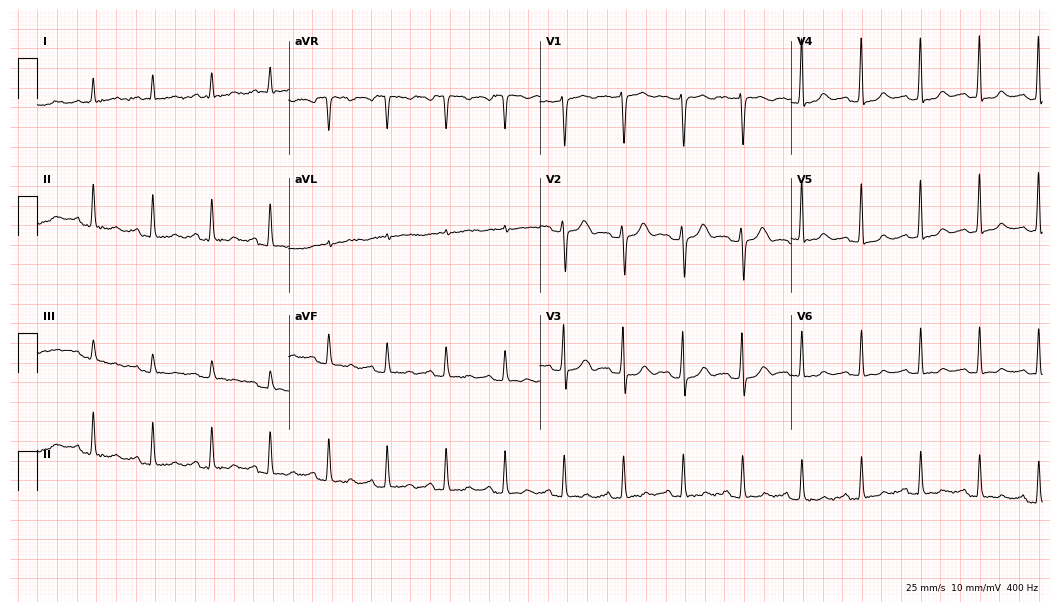
Electrocardiogram, a female, 67 years old. Of the six screened findings (first-degree AV block, right bundle branch block (RBBB), left bundle branch block (LBBB), sinus bradycardia, atrial fibrillation (AF), sinus tachycardia), none is recorded.